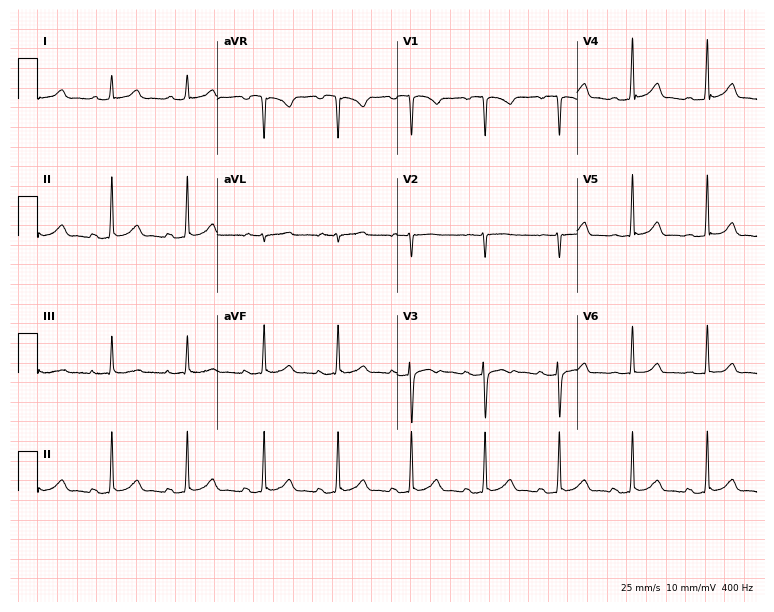
12-lead ECG from a 23-year-old woman. Screened for six findings — first-degree AV block, right bundle branch block, left bundle branch block, sinus bradycardia, atrial fibrillation, sinus tachycardia — none is recorded.